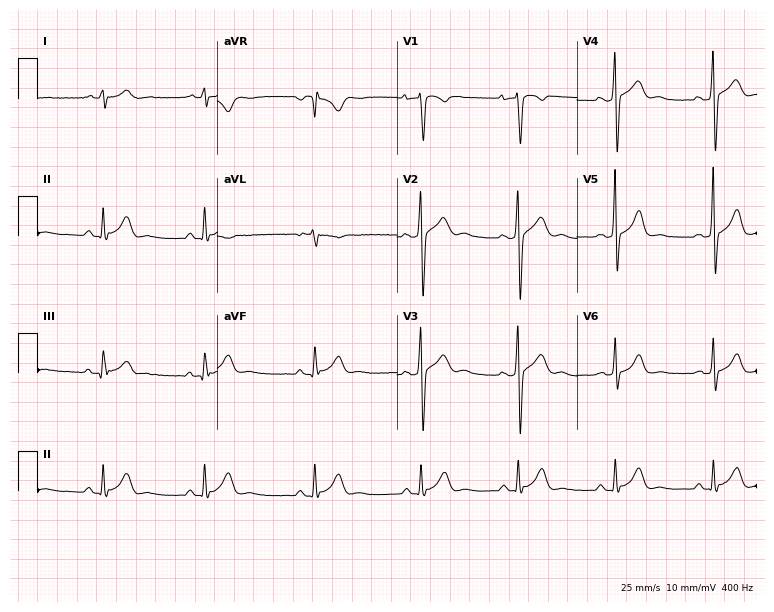
Electrocardiogram (7.3-second recording at 400 Hz), a male, 20 years old. Of the six screened findings (first-degree AV block, right bundle branch block, left bundle branch block, sinus bradycardia, atrial fibrillation, sinus tachycardia), none is recorded. Other findings, if any, are not listed.